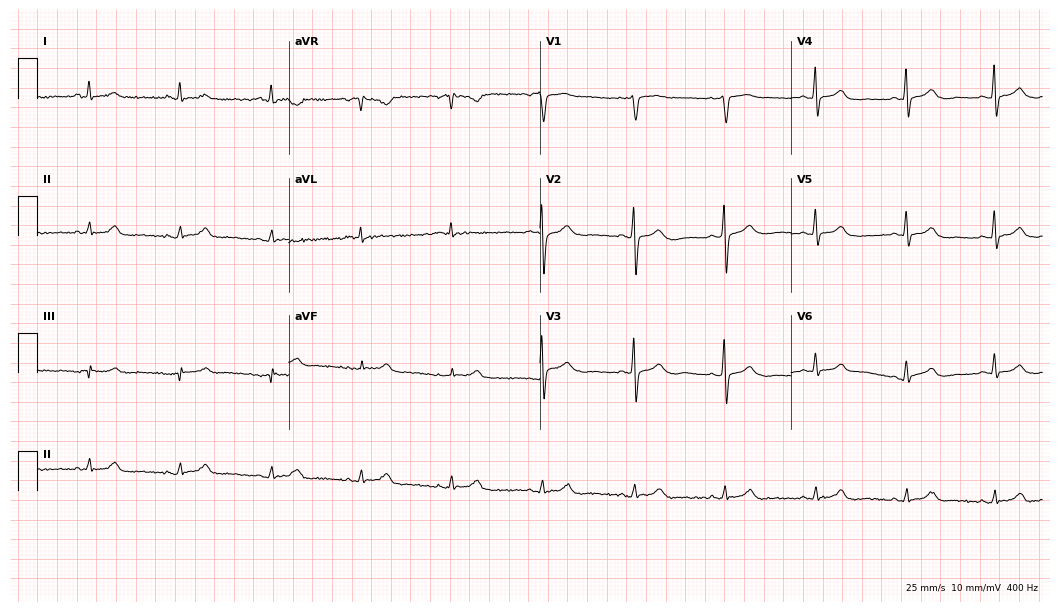
ECG — a male, 54 years old. Screened for six findings — first-degree AV block, right bundle branch block (RBBB), left bundle branch block (LBBB), sinus bradycardia, atrial fibrillation (AF), sinus tachycardia — none is recorded.